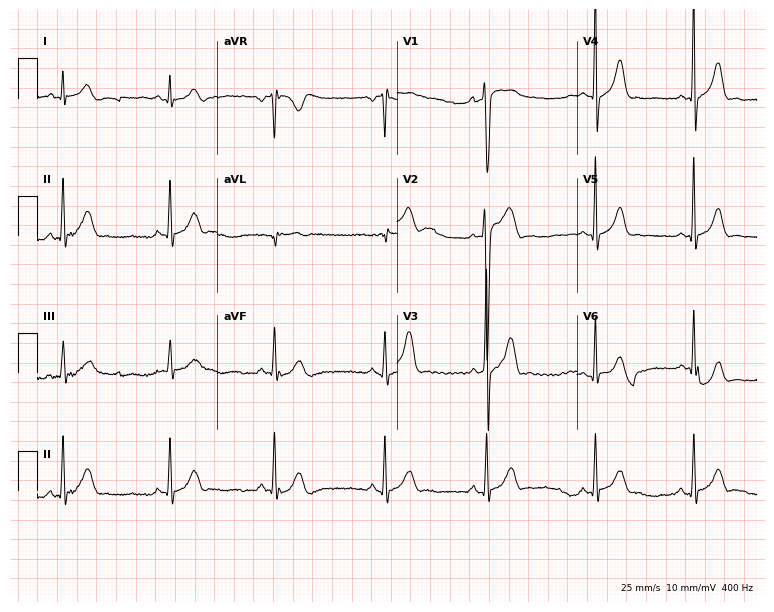
Electrocardiogram, a 20-year-old male. Of the six screened findings (first-degree AV block, right bundle branch block (RBBB), left bundle branch block (LBBB), sinus bradycardia, atrial fibrillation (AF), sinus tachycardia), none is recorded.